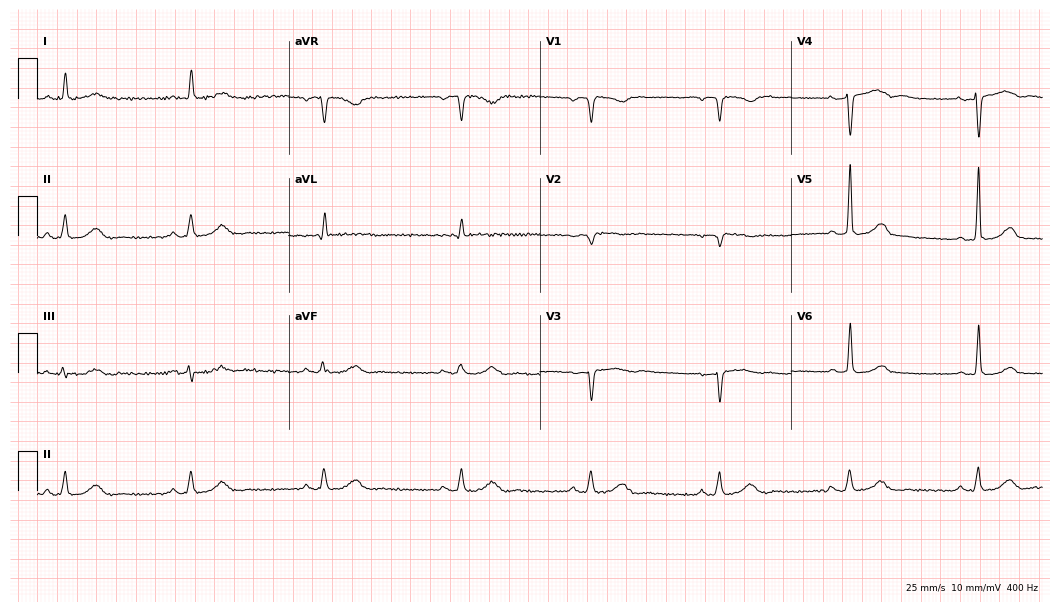
Resting 12-lead electrocardiogram. Patient: a woman, 76 years old. The tracing shows sinus bradycardia (a sinus rate of 50 beats per minute or less).